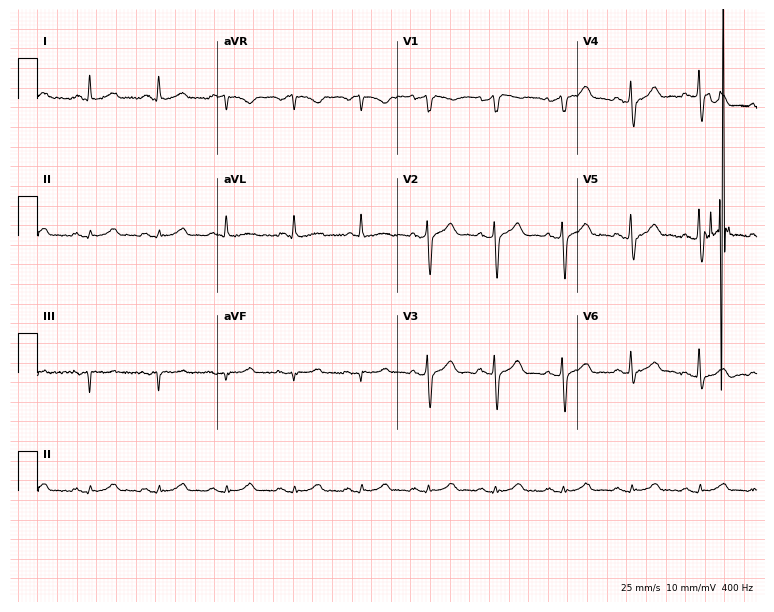
Resting 12-lead electrocardiogram. Patient: a male, 63 years old. Read as a normal ECG.